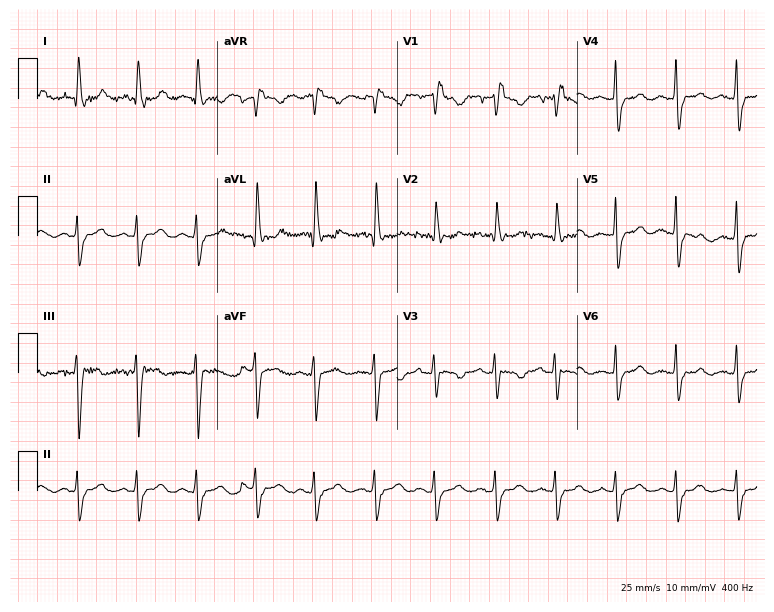
12-lead ECG from a female, 70 years old. Findings include right bundle branch block.